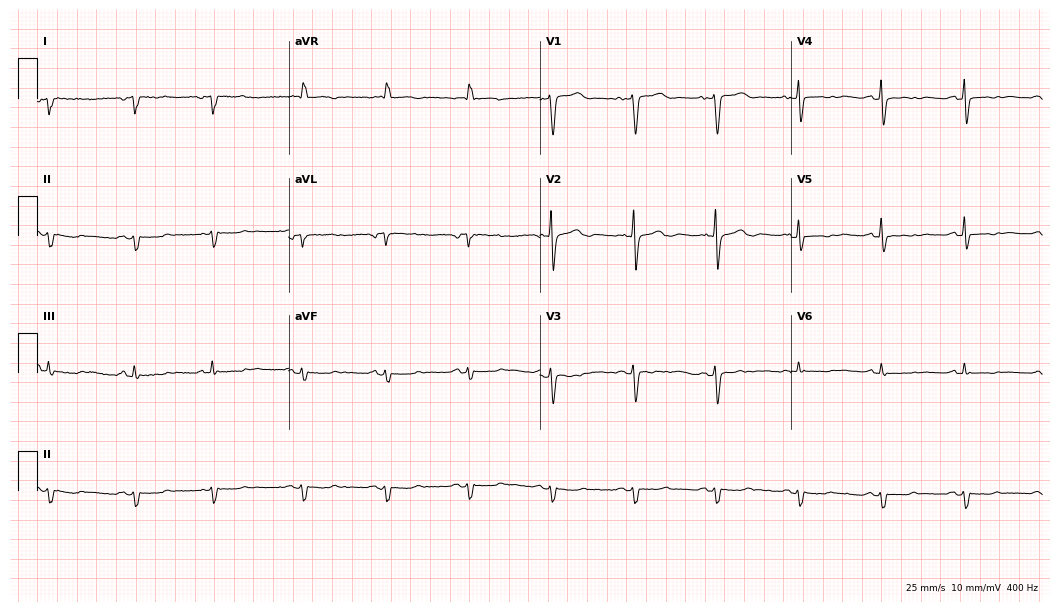
Standard 12-lead ECG recorded from a female patient, 81 years old. None of these six findings is recorded: first-degree AV block, right bundle branch block (RBBB), left bundle branch block (LBBB), sinus bradycardia, atrial fibrillation (AF), sinus tachycardia.